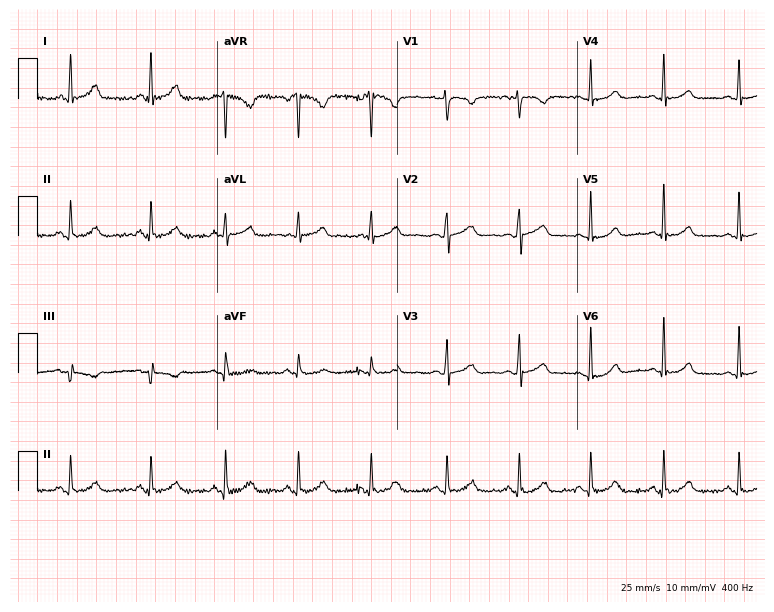
ECG — a woman, 41 years old. Screened for six findings — first-degree AV block, right bundle branch block (RBBB), left bundle branch block (LBBB), sinus bradycardia, atrial fibrillation (AF), sinus tachycardia — none is recorded. Other findings, if any, are not listed.